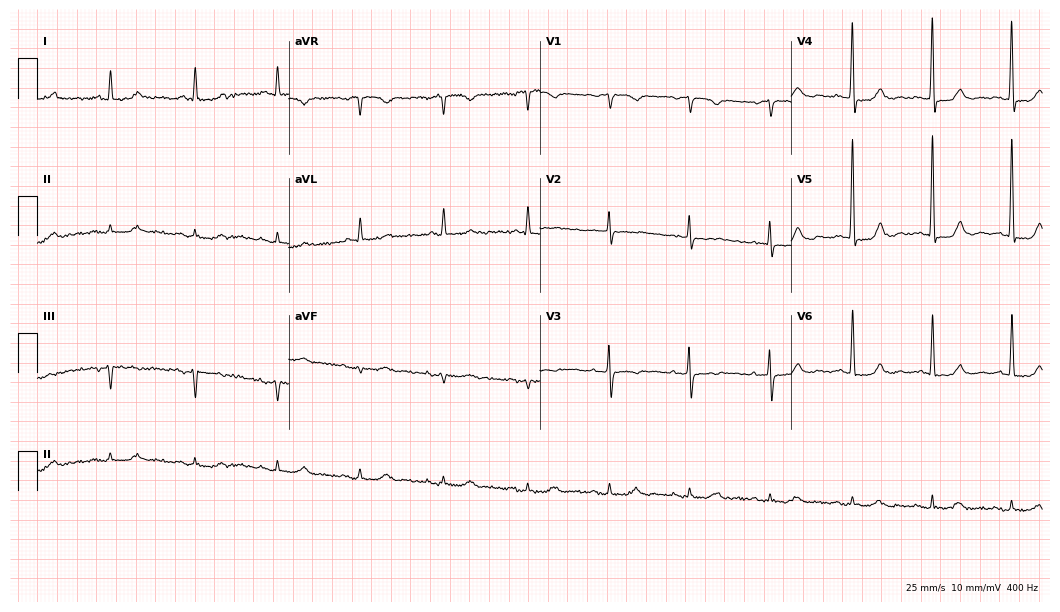
Electrocardiogram (10.2-second recording at 400 Hz), an 84-year-old male patient. Of the six screened findings (first-degree AV block, right bundle branch block, left bundle branch block, sinus bradycardia, atrial fibrillation, sinus tachycardia), none is recorded. Other findings, if any, are not listed.